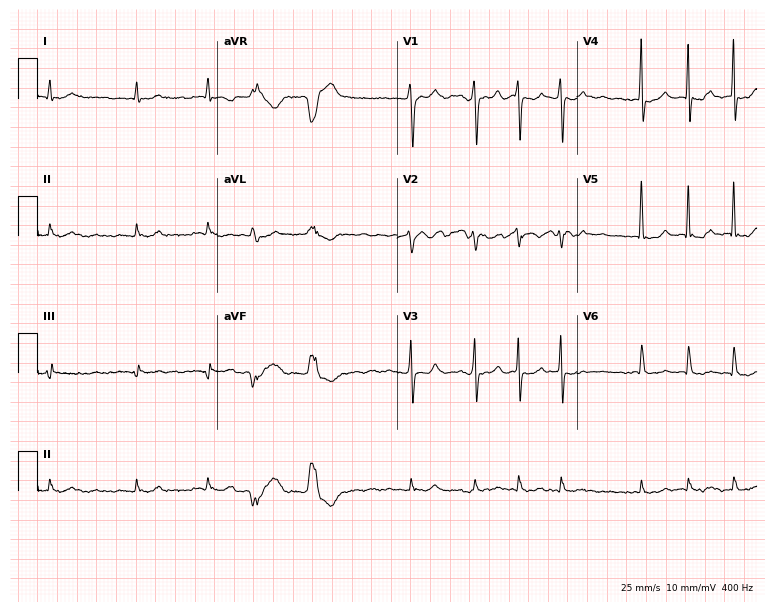
12-lead ECG from a 69-year-old female patient (7.3-second recording at 400 Hz). Shows atrial fibrillation.